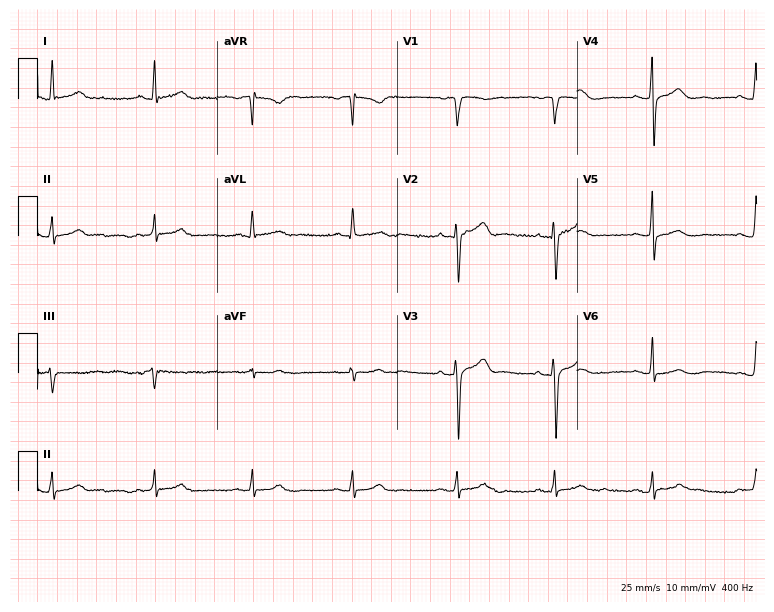
12-lead ECG from a male patient, 52 years old (7.3-second recording at 400 Hz). Recorded interpretation: within normal limits.